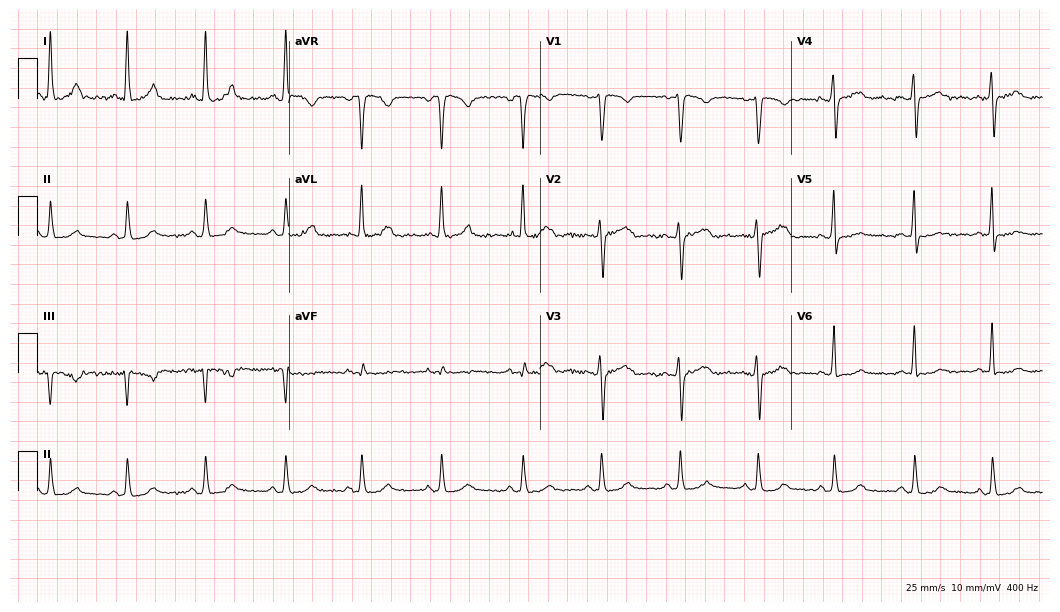
12-lead ECG from a 36-year-old female patient (10.2-second recording at 400 Hz). Recorded interpretation: within normal limits.